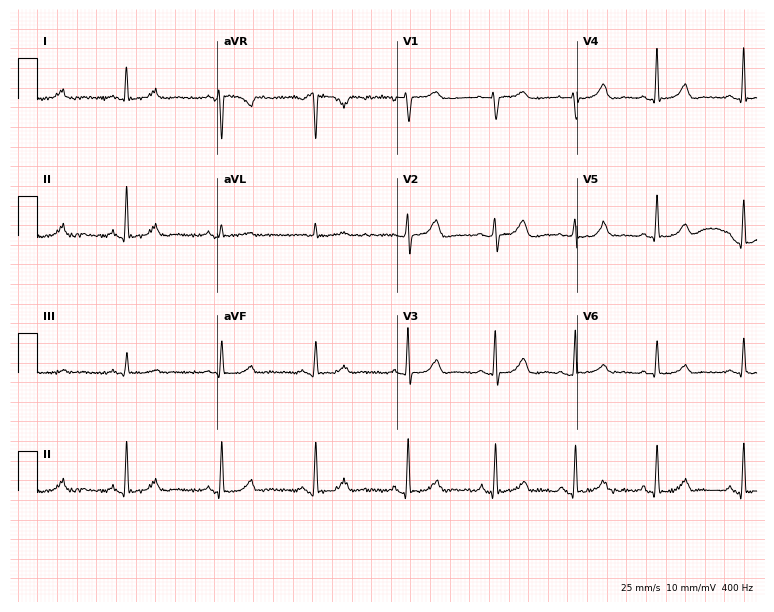
ECG (7.3-second recording at 400 Hz) — a female patient, 50 years old. Labelled as a normal ECG.